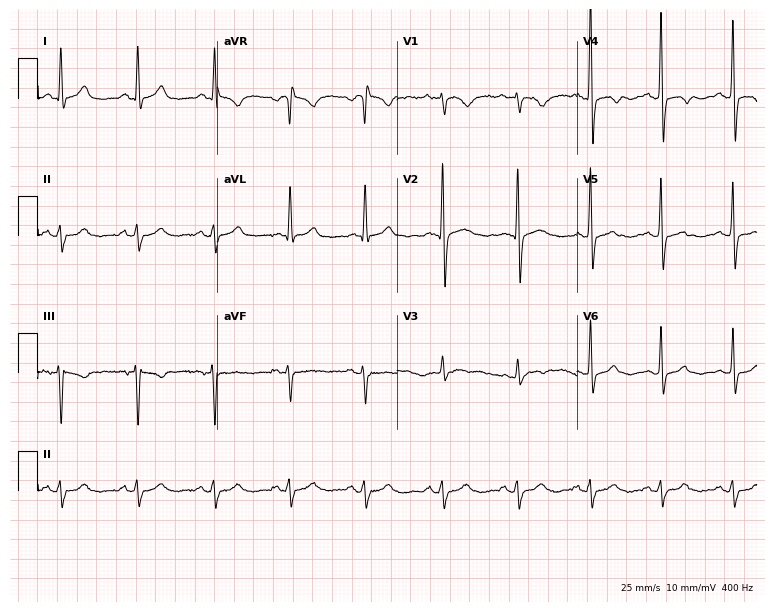
Standard 12-lead ECG recorded from a male, 25 years old (7.3-second recording at 400 Hz). None of these six findings is recorded: first-degree AV block, right bundle branch block (RBBB), left bundle branch block (LBBB), sinus bradycardia, atrial fibrillation (AF), sinus tachycardia. Only these six findings were labelled.